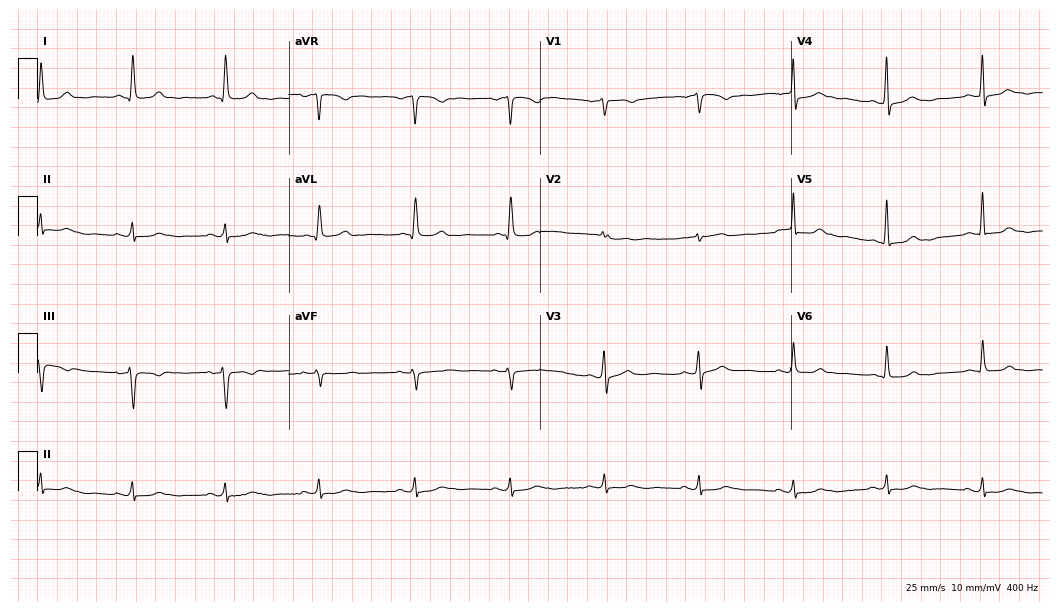
12-lead ECG from a 70-year-old woman. Screened for six findings — first-degree AV block, right bundle branch block, left bundle branch block, sinus bradycardia, atrial fibrillation, sinus tachycardia — none is recorded. Findings outside these six are not listed.